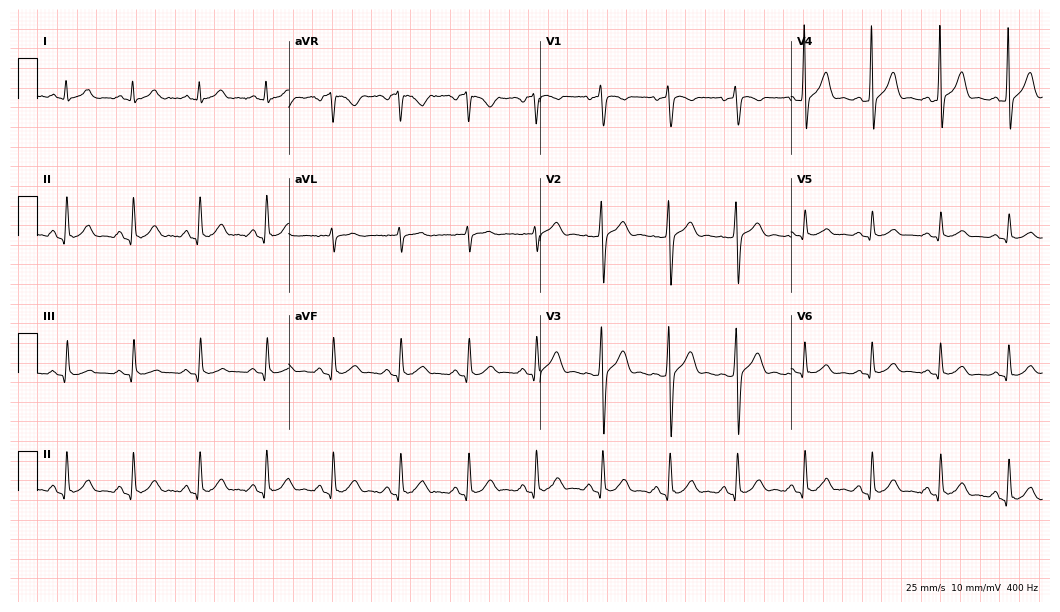
Resting 12-lead electrocardiogram. Patient: a 32-year-old male. None of these six findings is recorded: first-degree AV block, right bundle branch block, left bundle branch block, sinus bradycardia, atrial fibrillation, sinus tachycardia. Other findings, if any, are not listed.